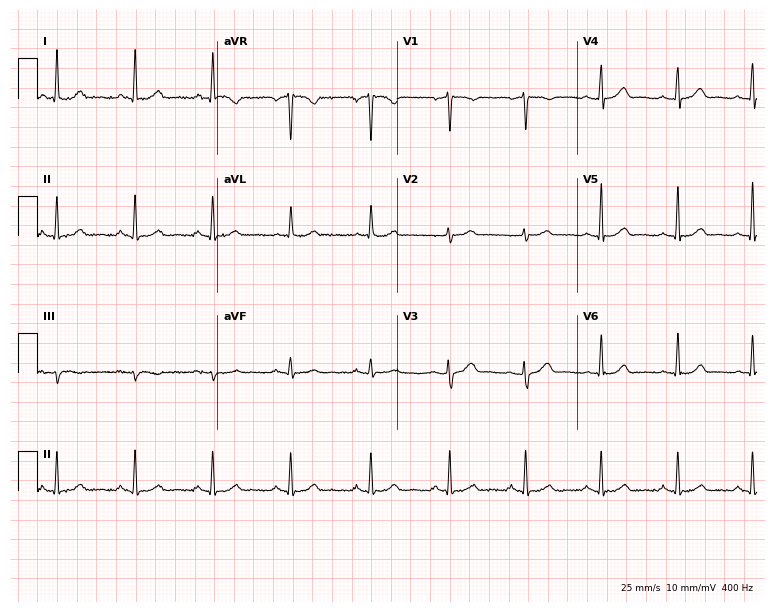
Electrocardiogram, a 39-year-old male. Overall reading on record: normal ECG.